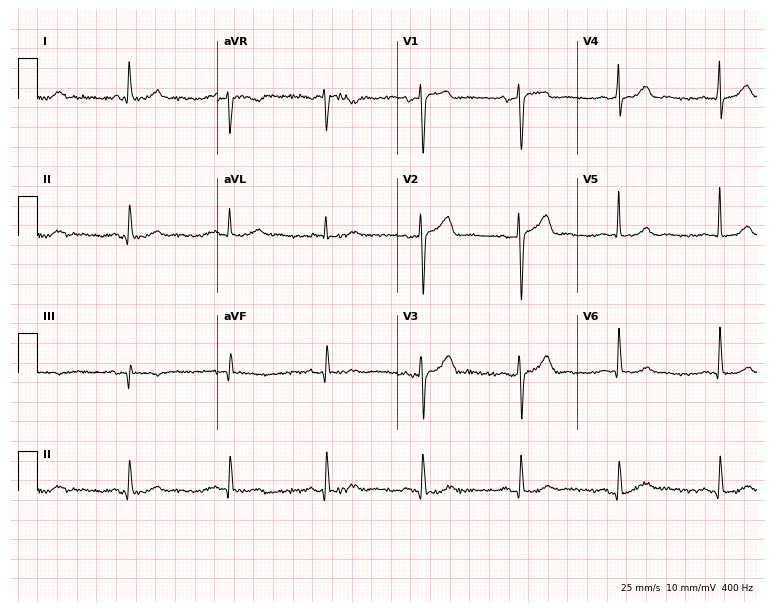
12-lead ECG from a male, 79 years old (7.3-second recording at 400 Hz). Recorded interpretation: within normal limits.